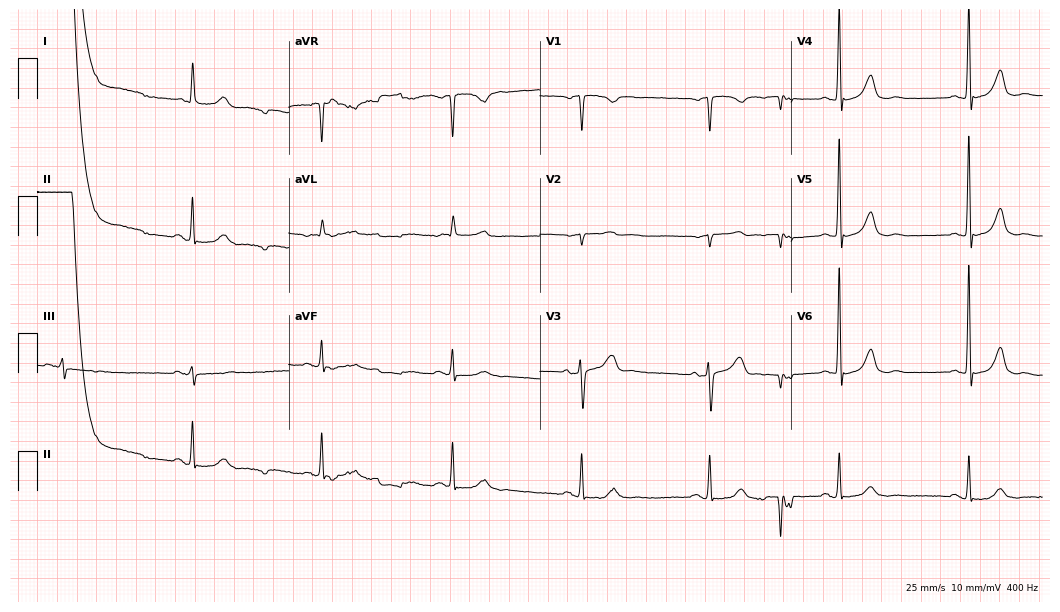
Electrocardiogram (10.2-second recording at 400 Hz), a man, 82 years old. Interpretation includes sinus bradycardia (a sinus rate of 50 beats per minute or less).